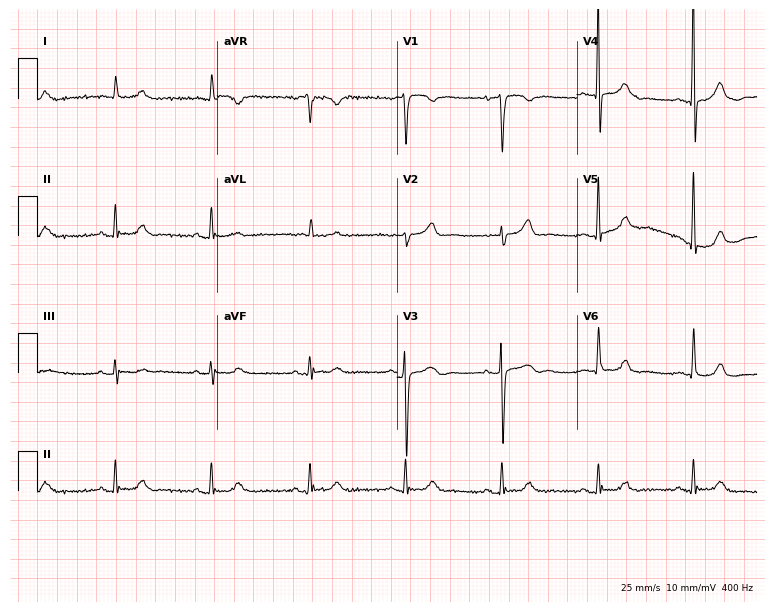
12-lead ECG (7.3-second recording at 400 Hz) from a 77-year-old woman. Labelled as a normal ECG.